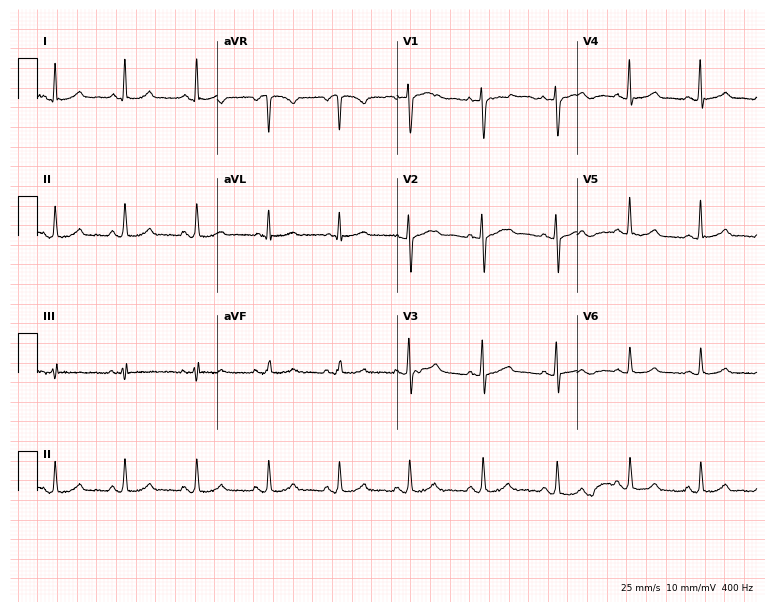
ECG — a female patient, 45 years old. Screened for six findings — first-degree AV block, right bundle branch block (RBBB), left bundle branch block (LBBB), sinus bradycardia, atrial fibrillation (AF), sinus tachycardia — none is recorded.